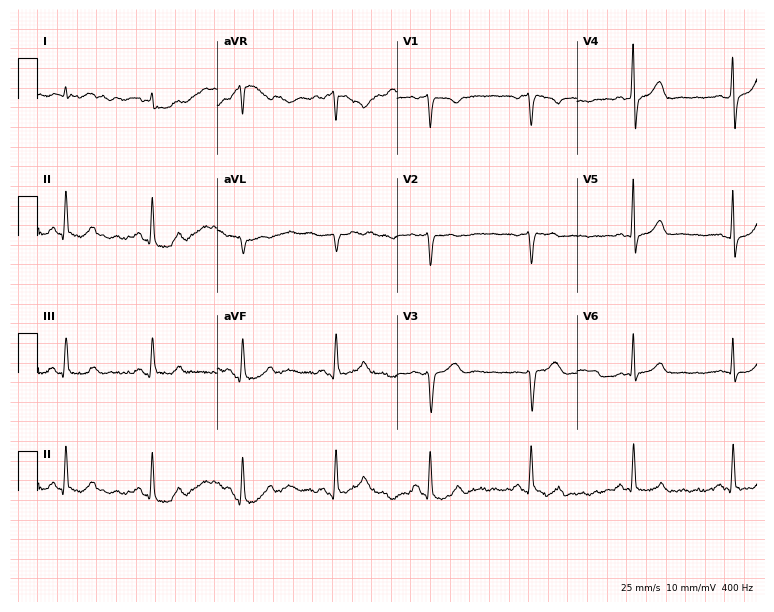
Electrocardiogram (7.3-second recording at 400 Hz), a male, 57 years old. Of the six screened findings (first-degree AV block, right bundle branch block, left bundle branch block, sinus bradycardia, atrial fibrillation, sinus tachycardia), none is recorded. Other findings, if any, are not listed.